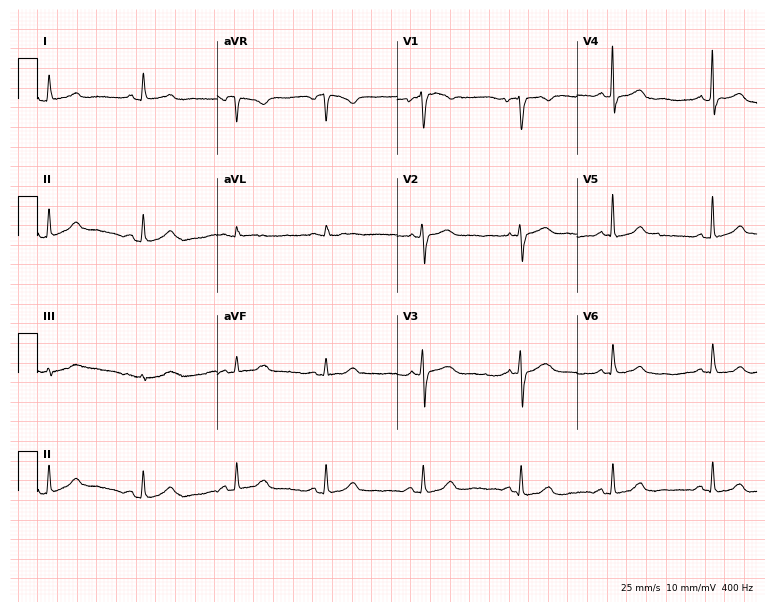
ECG — a 42-year-old female patient. Labelled as a normal ECG.